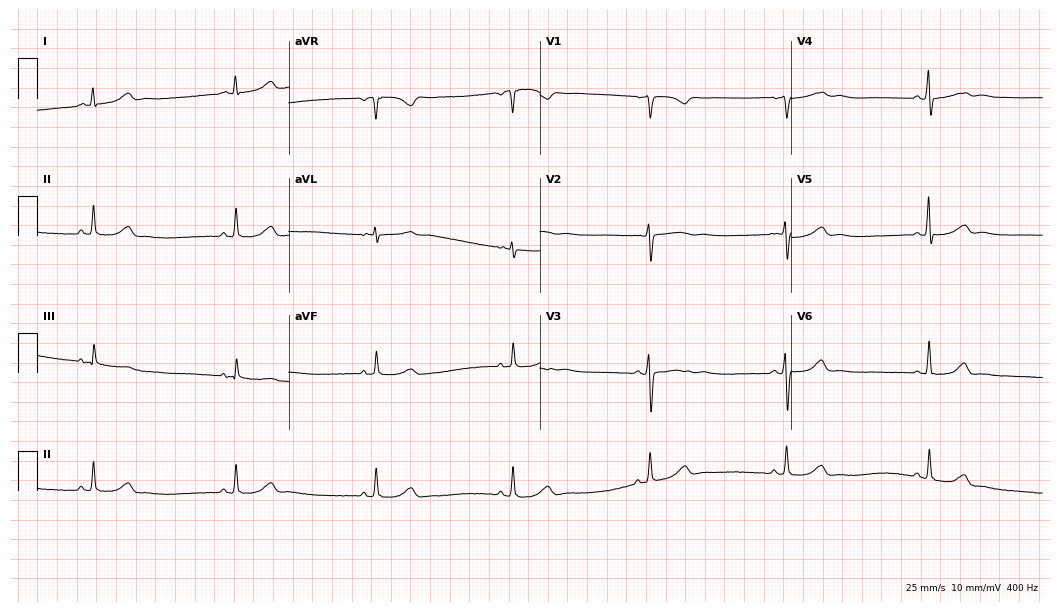
Electrocardiogram (10.2-second recording at 400 Hz), a woman, 31 years old. Interpretation includes sinus bradycardia (a sinus rate of 50 beats per minute or less).